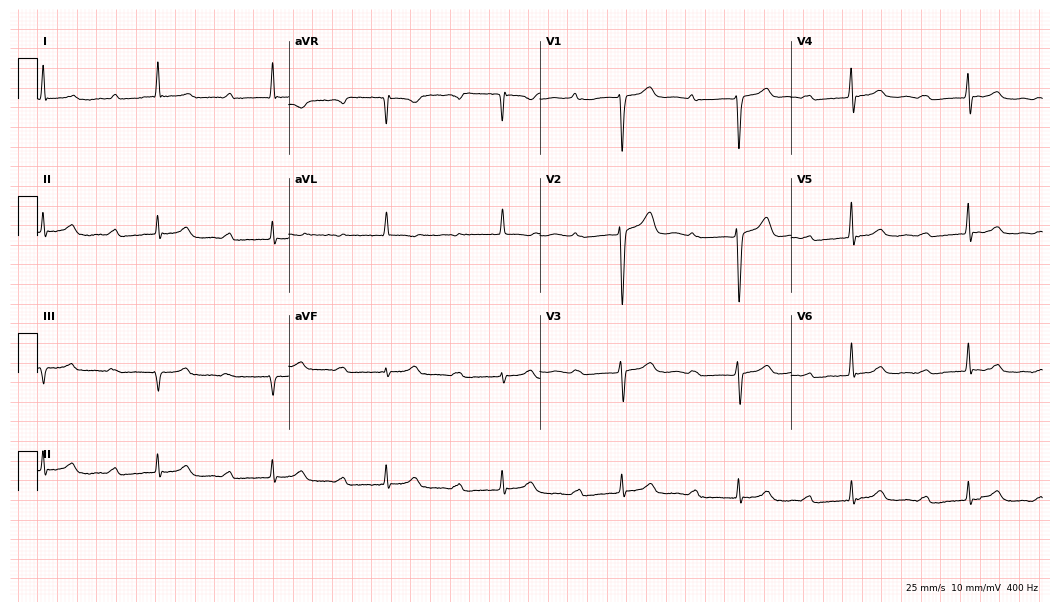
Standard 12-lead ECG recorded from a 66-year-old man (10.2-second recording at 400 Hz). None of these six findings is recorded: first-degree AV block, right bundle branch block, left bundle branch block, sinus bradycardia, atrial fibrillation, sinus tachycardia.